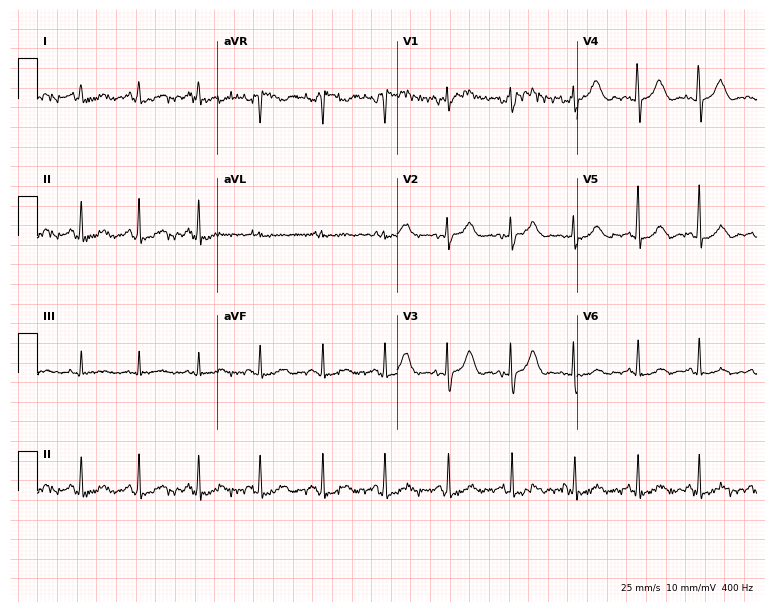
Standard 12-lead ECG recorded from a 36-year-old female. Read as a normal ECG.